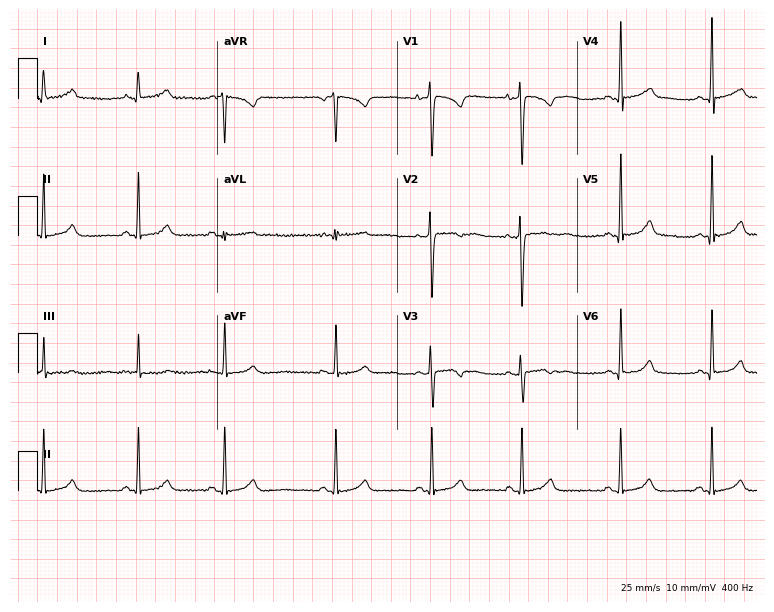
12-lead ECG from a 20-year-old woman (7.3-second recording at 400 Hz). No first-degree AV block, right bundle branch block, left bundle branch block, sinus bradycardia, atrial fibrillation or sinus tachycardia recorded for this tracing. Only these six findings were labelled.